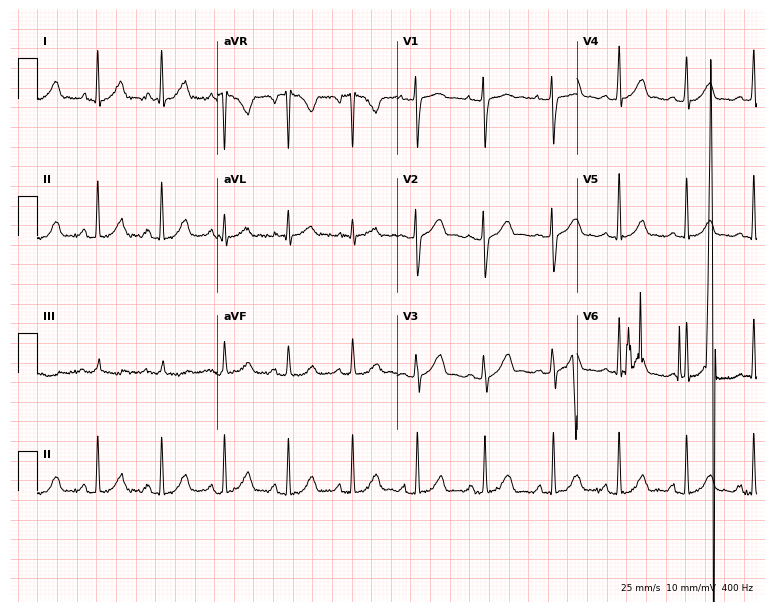
Electrocardiogram, a 35-year-old female patient. Of the six screened findings (first-degree AV block, right bundle branch block, left bundle branch block, sinus bradycardia, atrial fibrillation, sinus tachycardia), none is recorded.